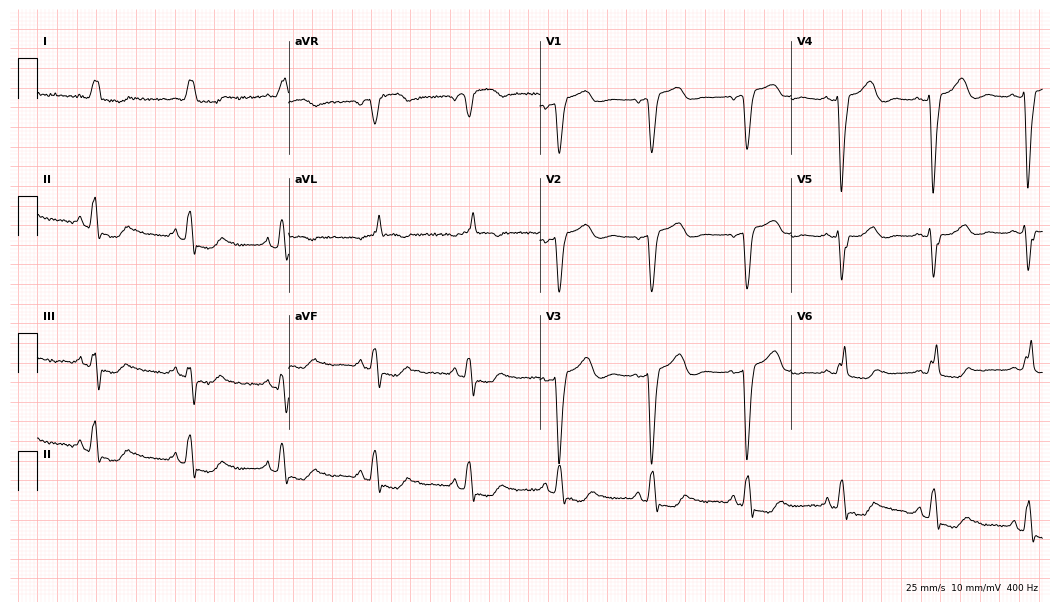
Standard 12-lead ECG recorded from a female, 83 years old. The tracing shows left bundle branch block (LBBB).